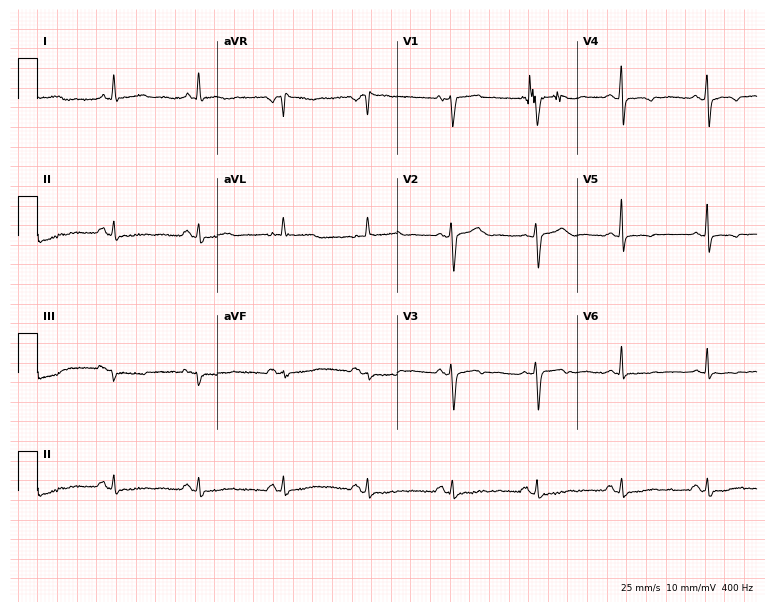
Standard 12-lead ECG recorded from a 67-year-old woman. Read as a normal ECG.